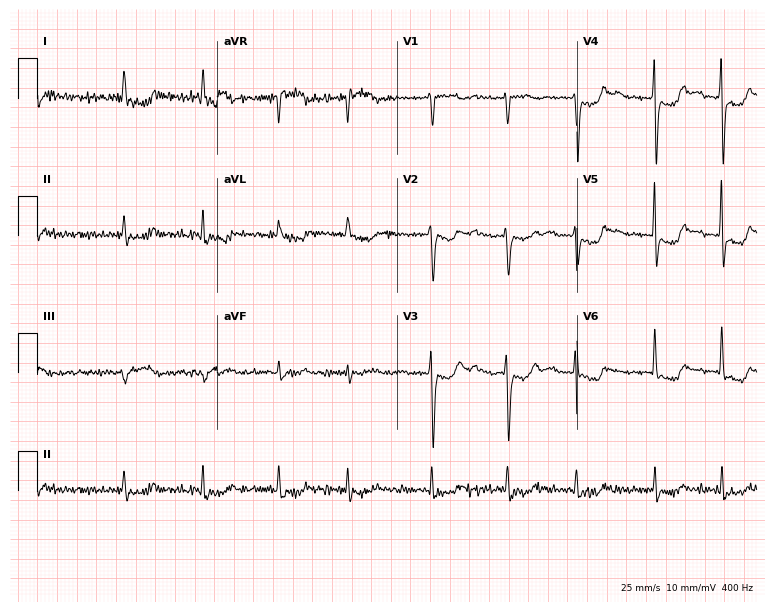
12-lead ECG (7.3-second recording at 400 Hz) from a 71-year-old male. Screened for six findings — first-degree AV block, right bundle branch block (RBBB), left bundle branch block (LBBB), sinus bradycardia, atrial fibrillation (AF), sinus tachycardia — none is recorded. Findings outside these six are not listed.